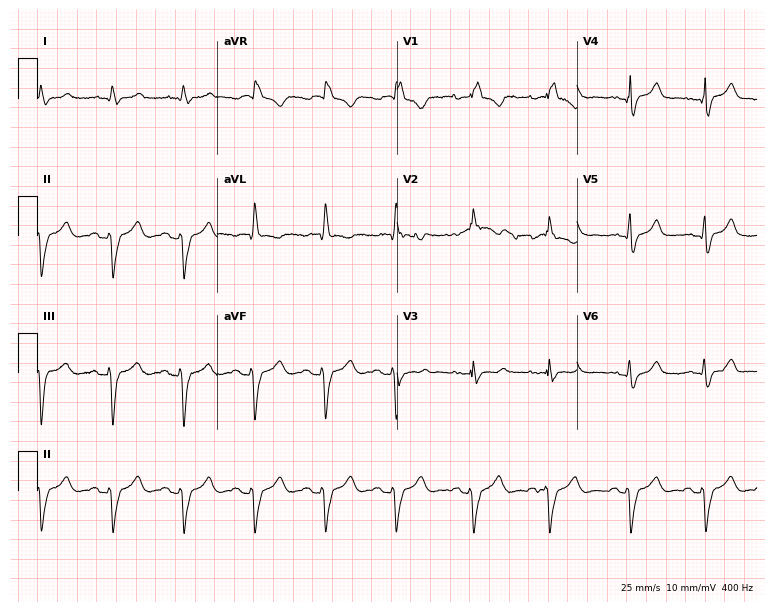
Standard 12-lead ECG recorded from a 47-year-old woman. The tracing shows right bundle branch block.